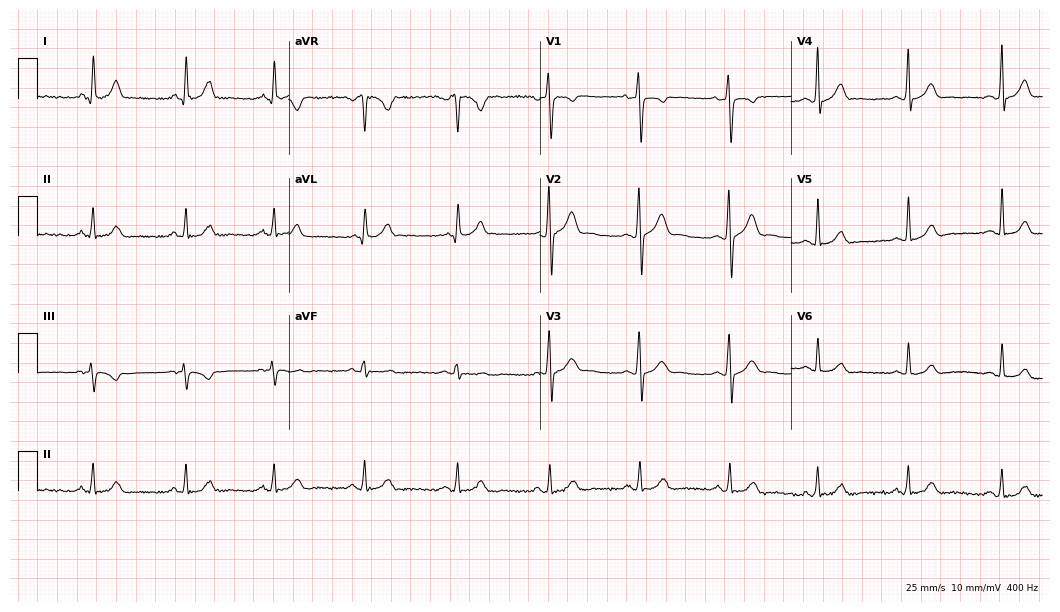
Resting 12-lead electrocardiogram. Patient: a 30-year-old man. None of these six findings is recorded: first-degree AV block, right bundle branch block, left bundle branch block, sinus bradycardia, atrial fibrillation, sinus tachycardia. Findings outside these six are not listed.